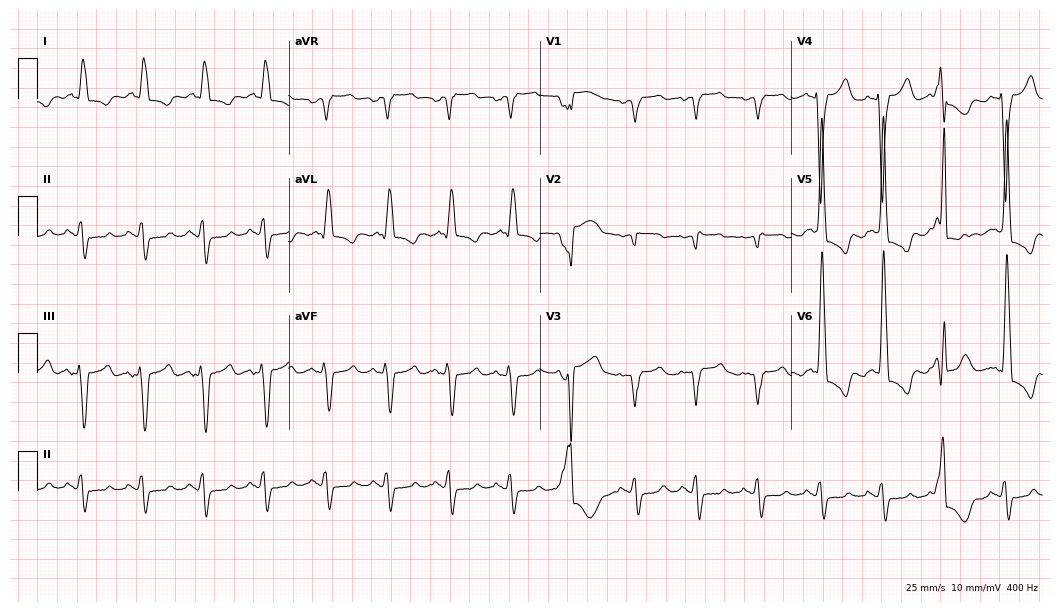
ECG (10.2-second recording at 400 Hz) — a female, 79 years old. Screened for six findings — first-degree AV block, right bundle branch block, left bundle branch block, sinus bradycardia, atrial fibrillation, sinus tachycardia — none is recorded. Other findings, if any, are not listed.